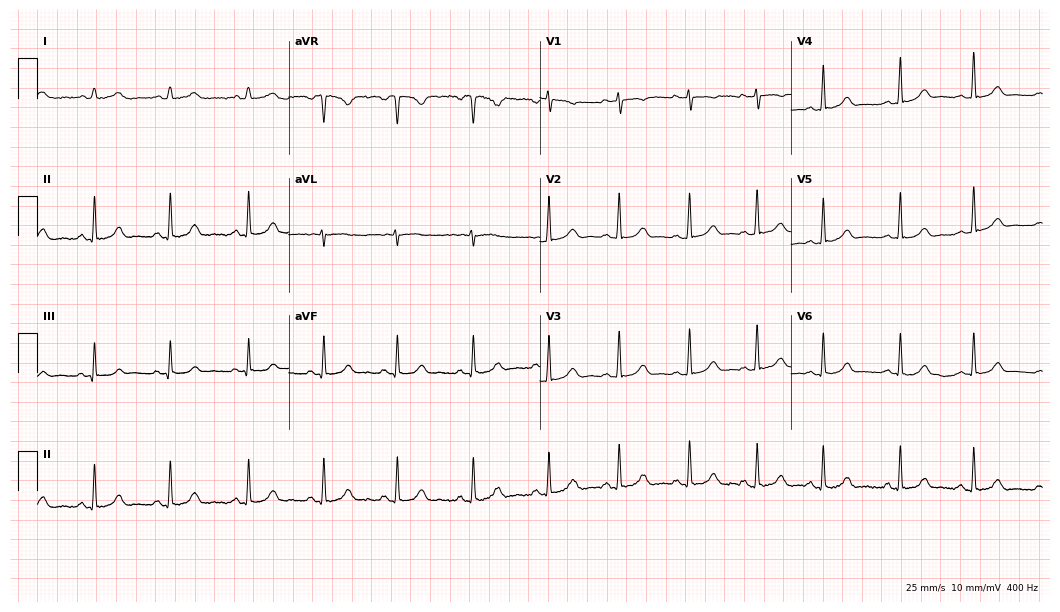
12-lead ECG from a female, 26 years old. Labelled as a normal ECG.